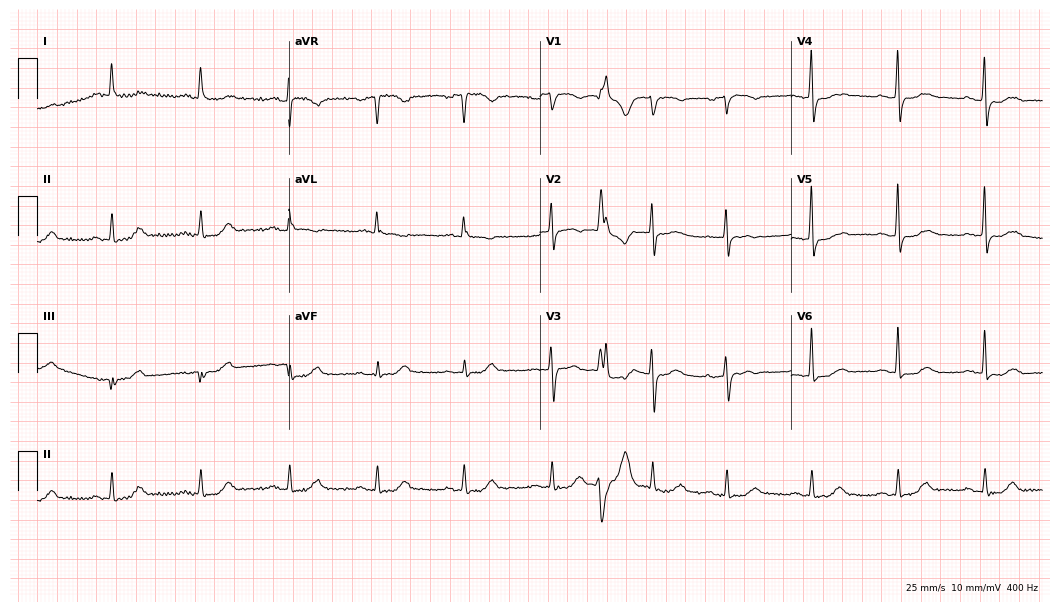
Resting 12-lead electrocardiogram (10.2-second recording at 400 Hz). Patient: a 74-year-old woman. None of these six findings is recorded: first-degree AV block, right bundle branch block, left bundle branch block, sinus bradycardia, atrial fibrillation, sinus tachycardia.